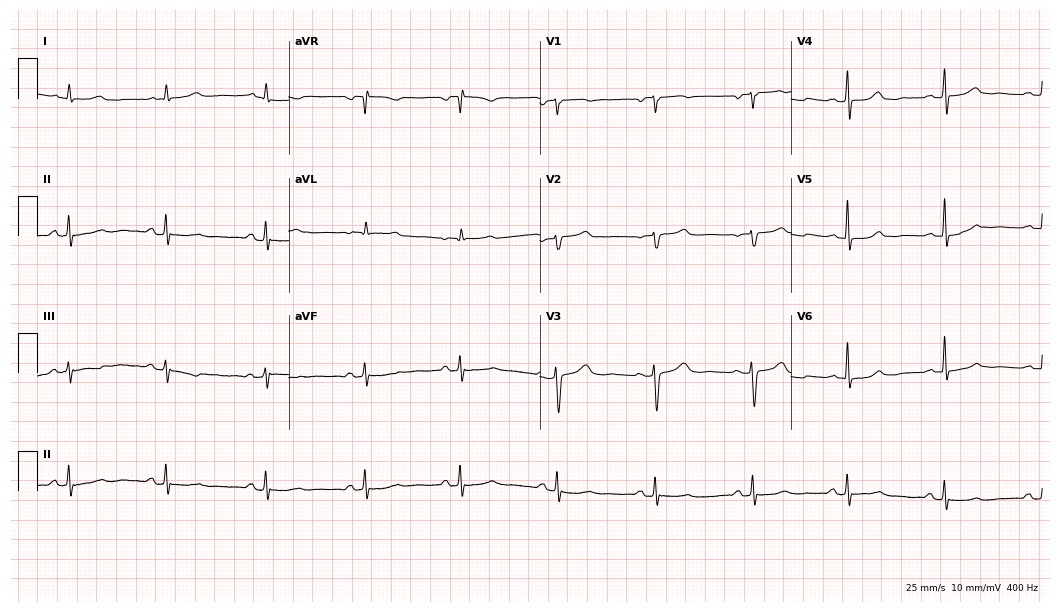
Standard 12-lead ECG recorded from a woman, 82 years old. None of these six findings is recorded: first-degree AV block, right bundle branch block (RBBB), left bundle branch block (LBBB), sinus bradycardia, atrial fibrillation (AF), sinus tachycardia.